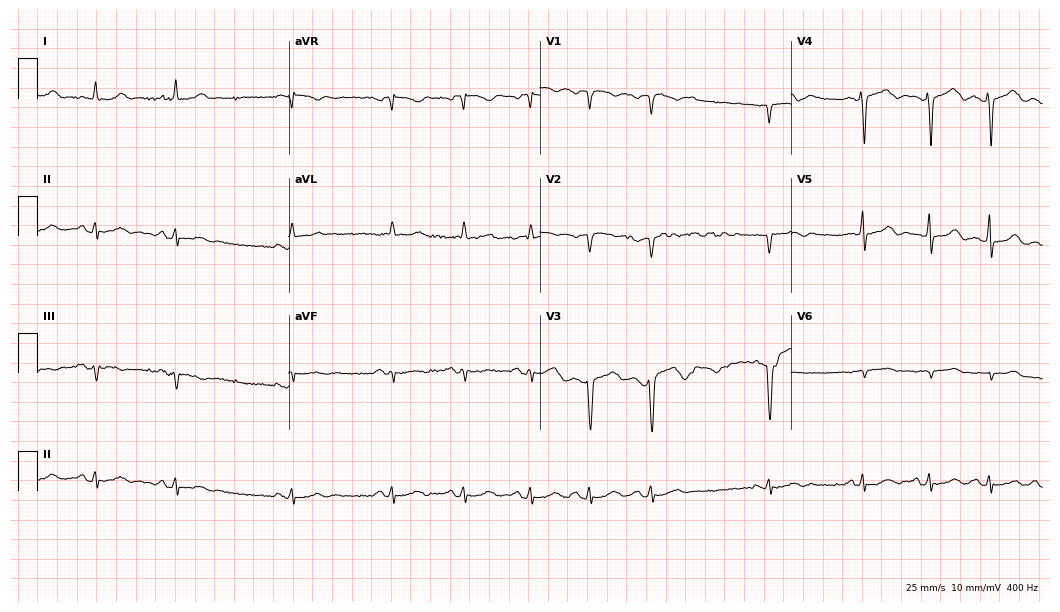
Standard 12-lead ECG recorded from a male patient, 49 years old. None of these six findings is recorded: first-degree AV block, right bundle branch block, left bundle branch block, sinus bradycardia, atrial fibrillation, sinus tachycardia. Other findings, if any, are not listed.